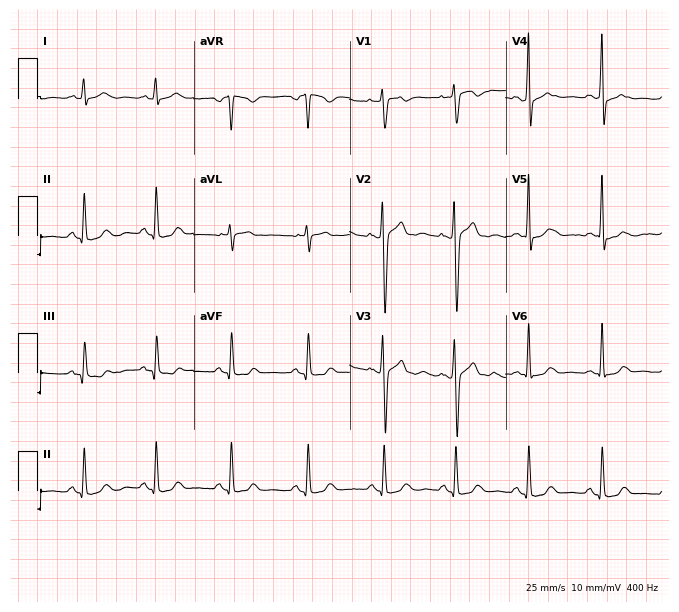
ECG (6.4-second recording at 400 Hz) — a 31-year-old female patient. Screened for six findings — first-degree AV block, right bundle branch block, left bundle branch block, sinus bradycardia, atrial fibrillation, sinus tachycardia — none is recorded.